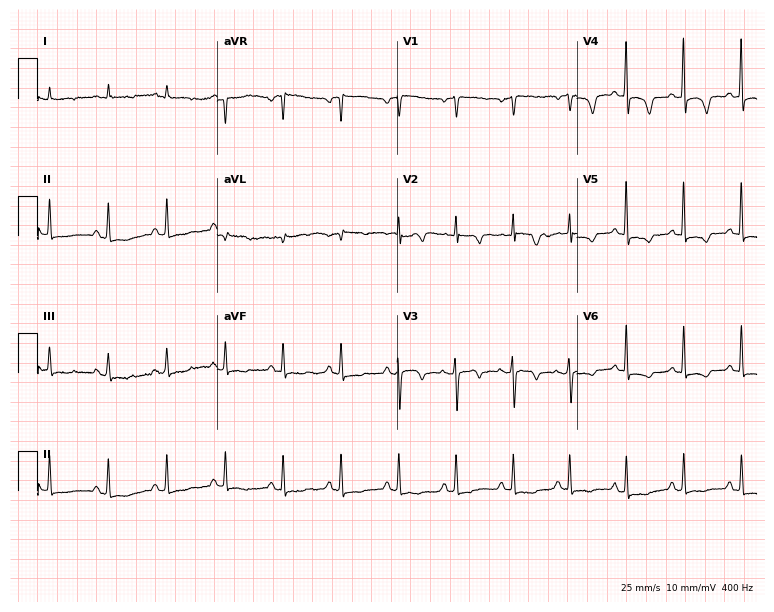
12-lead ECG from a 77-year-old woman (7.3-second recording at 400 Hz). Shows sinus tachycardia (a sinus rate of 100 beats per minute or more).